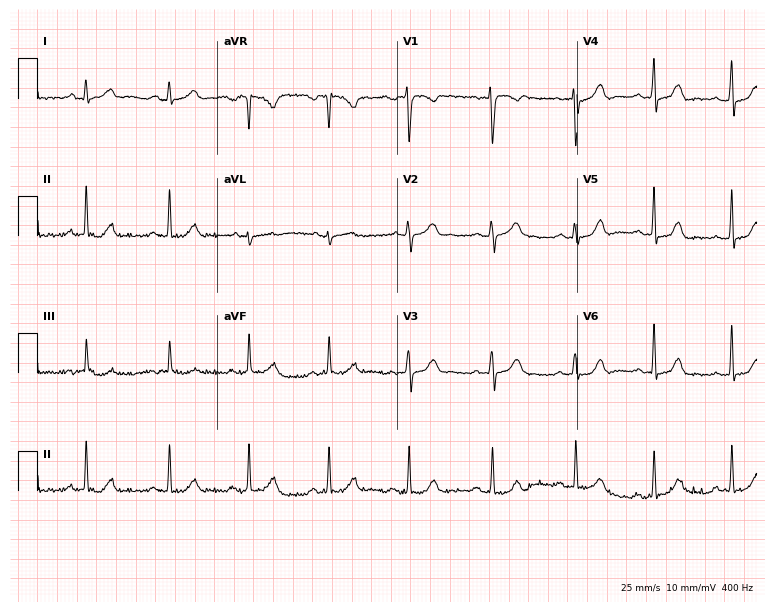
12-lead ECG from a 22-year-old female. Recorded interpretation: within normal limits.